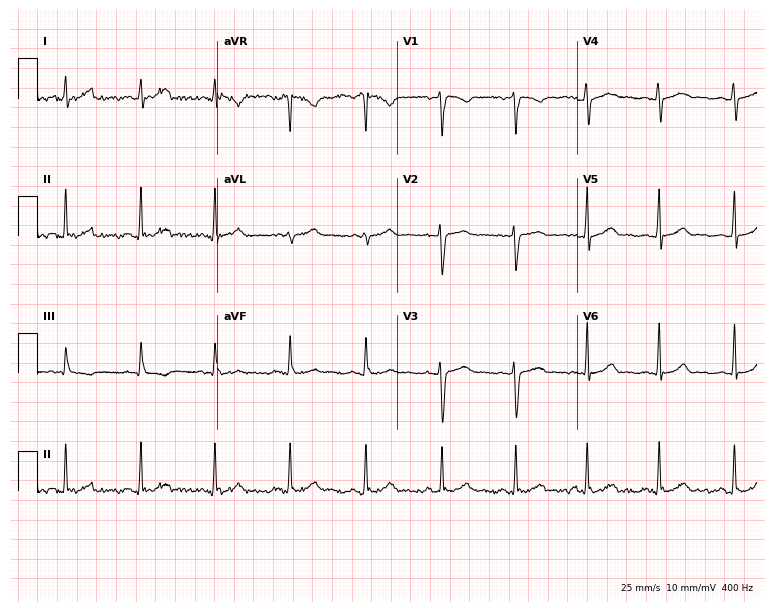
ECG (7.3-second recording at 400 Hz) — a female, 22 years old. Labelled as a normal ECG.